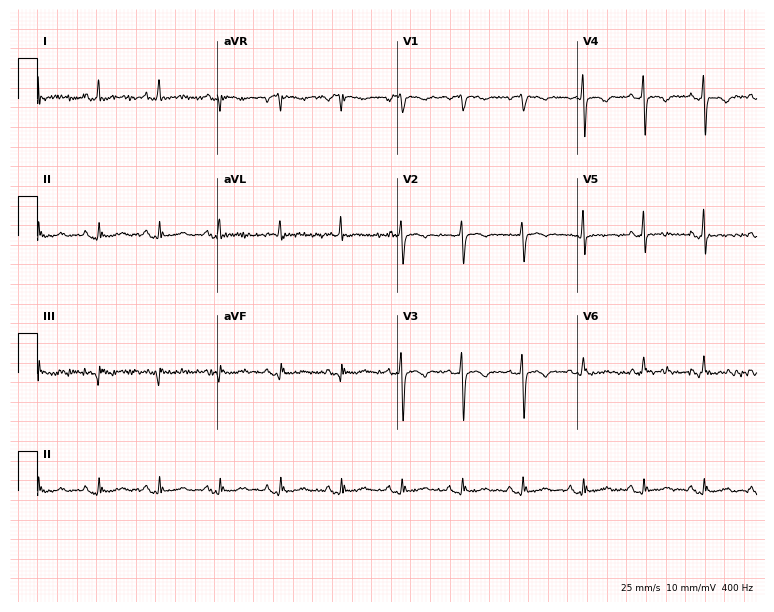
Electrocardiogram (7.3-second recording at 400 Hz), a 61-year-old female. Of the six screened findings (first-degree AV block, right bundle branch block, left bundle branch block, sinus bradycardia, atrial fibrillation, sinus tachycardia), none is recorded.